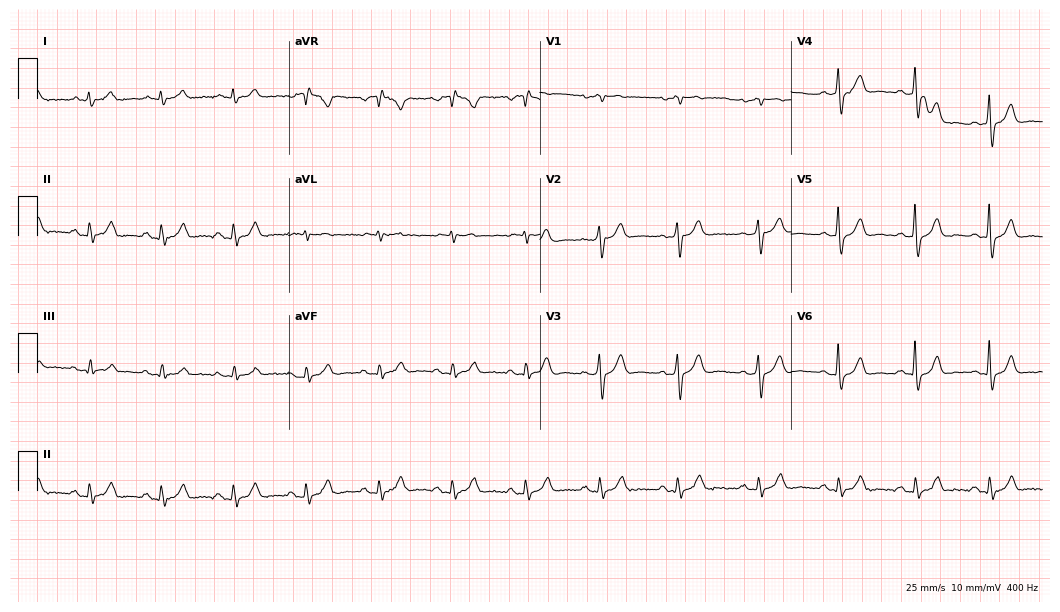
12-lead ECG from a male, 60 years old. Screened for six findings — first-degree AV block, right bundle branch block (RBBB), left bundle branch block (LBBB), sinus bradycardia, atrial fibrillation (AF), sinus tachycardia — none is recorded. Only these six findings were labelled.